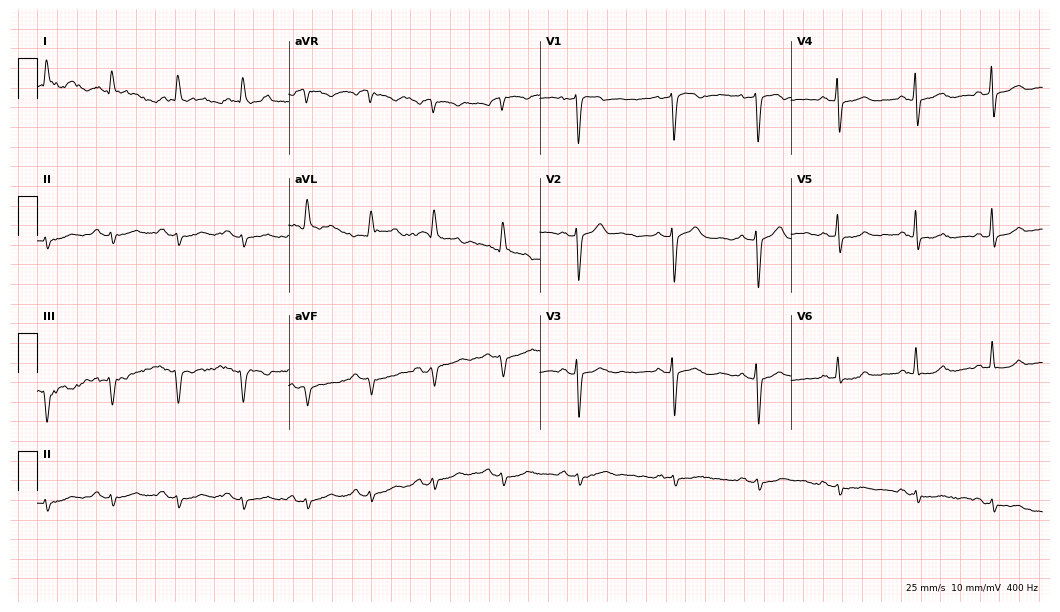
Standard 12-lead ECG recorded from a man, 63 years old (10.2-second recording at 400 Hz). None of these six findings is recorded: first-degree AV block, right bundle branch block, left bundle branch block, sinus bradycardia, atrial fibrillation, sinus tachycardia.